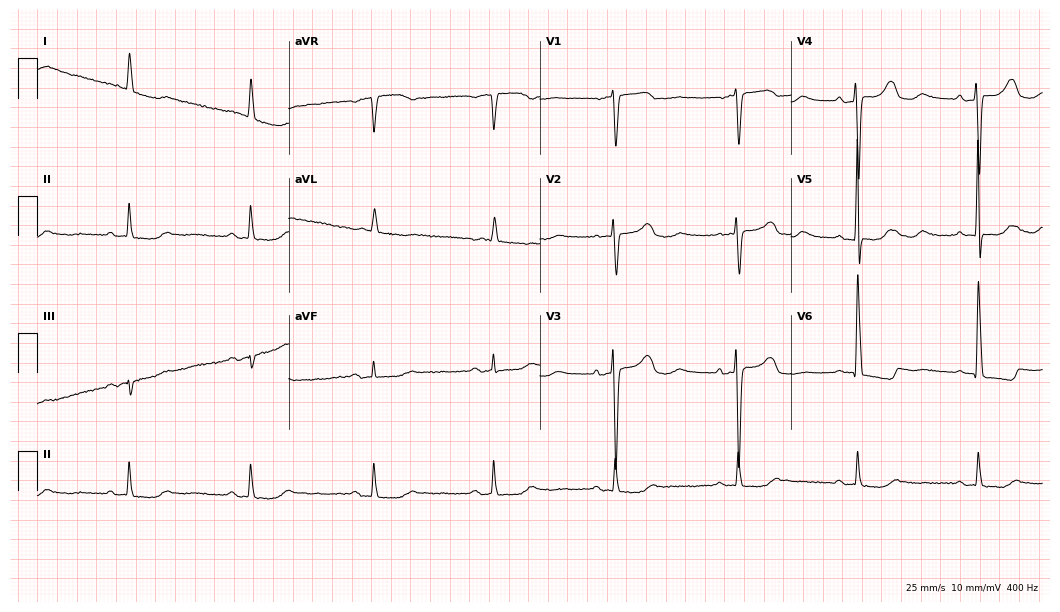
Resting 12-lead electrocardiogram. Patient: an 84-year-old female. The tracing shows sinus bradycardia (a sinus rate of 50 beats per minute or less).